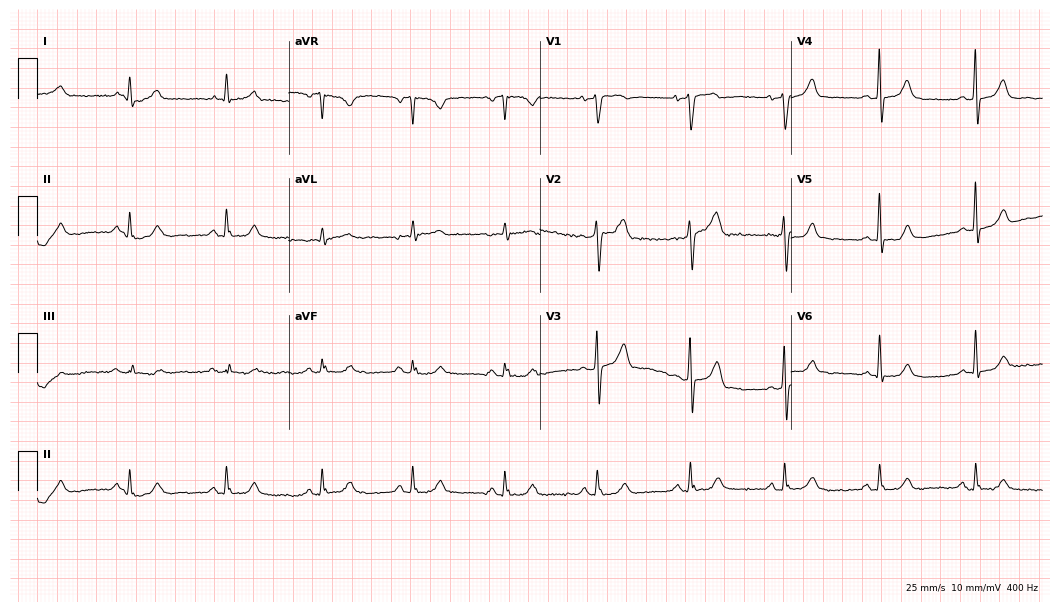
Resting 12-lead electrocardiogram (10.2-second recording at 400 Hz). Patient: a man, 71 years old. Read as a normal ECG.